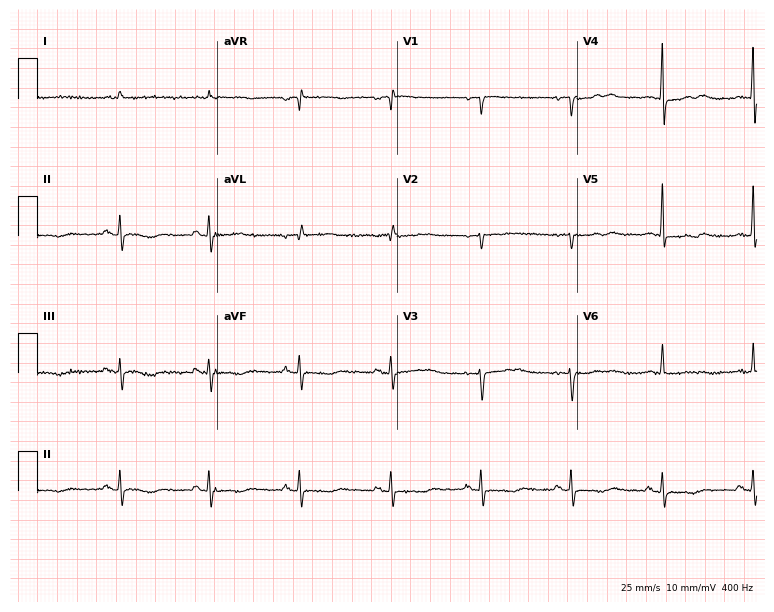
Electrocardiogram, a 71-year-old female patient. Overall reading on record: normal ECG.